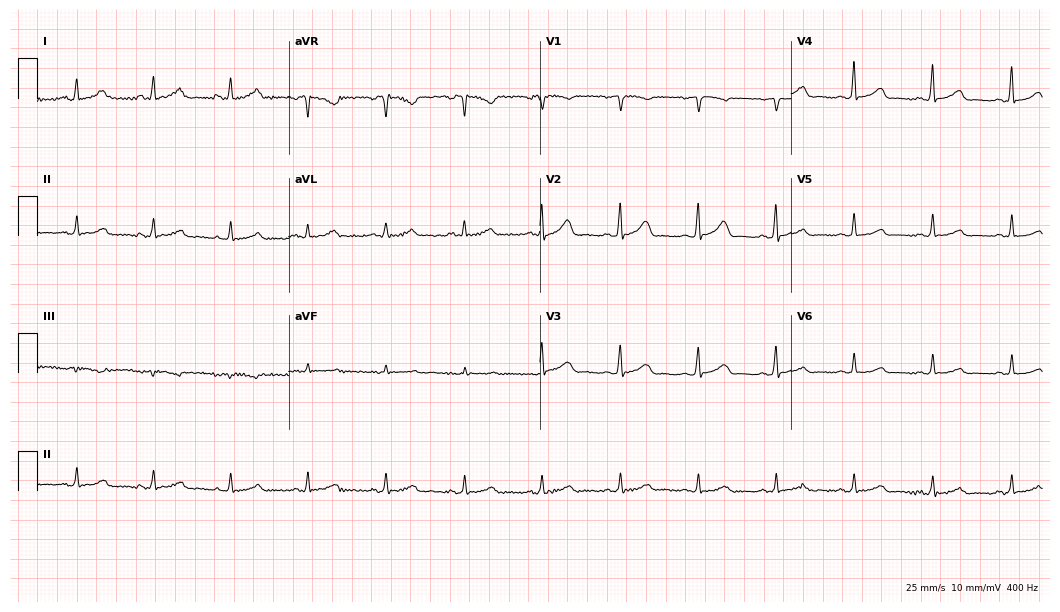
12-lead ECG (10.2-second recording at 400 Hz) from a 56-year-old female patient. Labelled as a normal ECG.